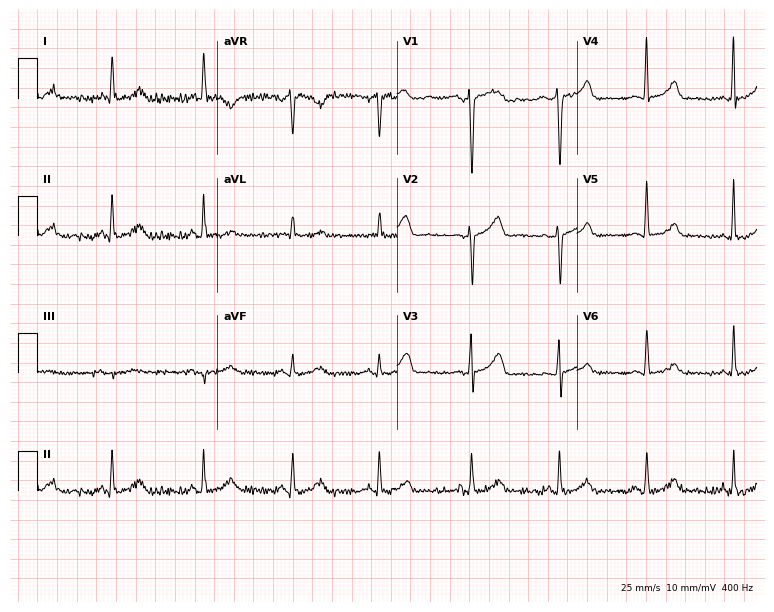
Resting 12-lead electrocardiogram. Patient: a female, 28 years old. None of these six findings is recorded: first-degree AV block, right bundle branch block, left bundle branch block, sinus bradycardia, atrial fibrillation, sinus tachycardia.